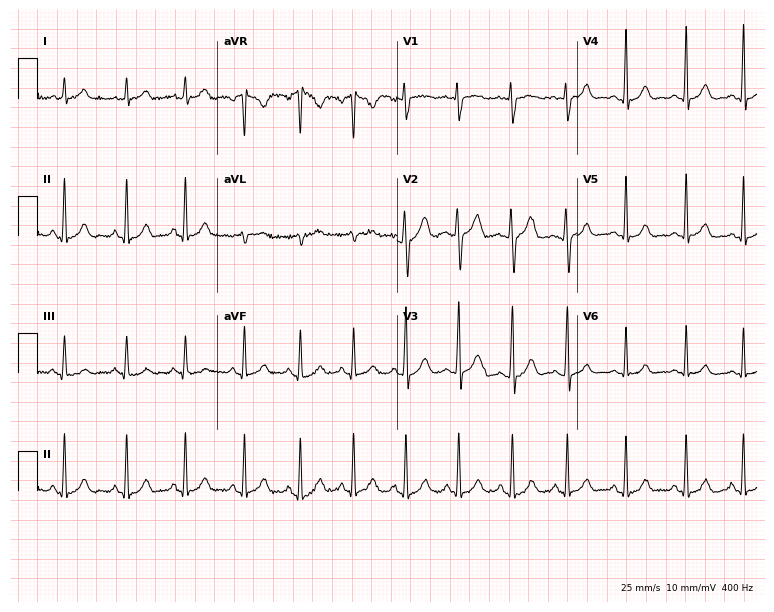
12-lead ECG from a female, 19 years old (7.3-second recording at 400 Hz). Recorded interpretation: within normal limits.